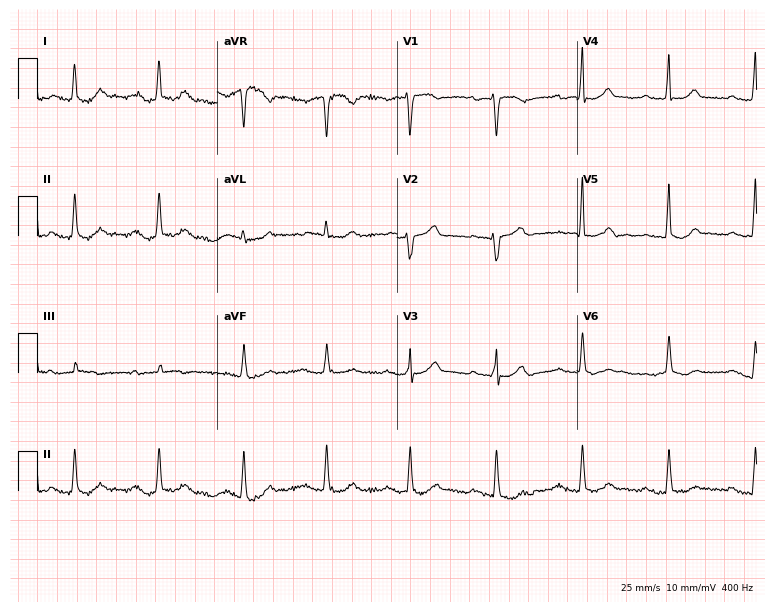
12-lead ECG from a female, 82 years old. Recorded interpretation: within normal limits.